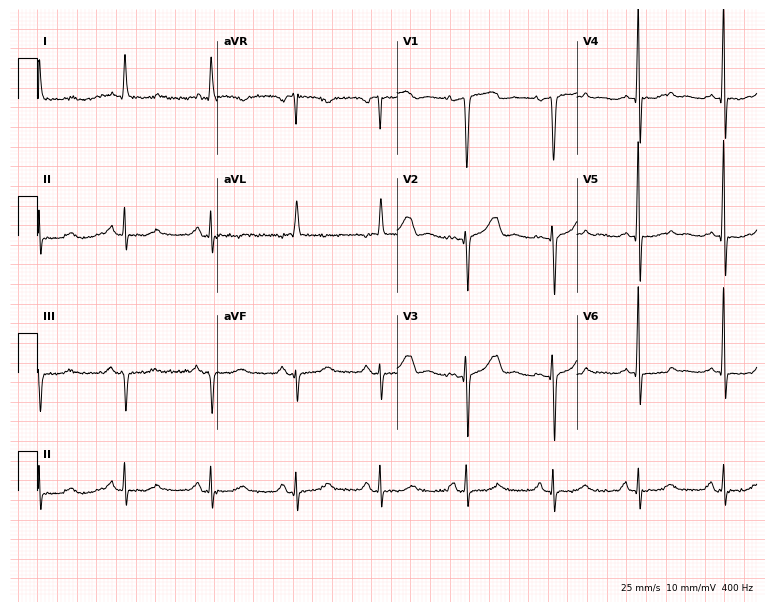
Standard 12-lead ECG recorded from an 85-year-old female. None of these six findings is recorded: first-degree AV block, right bundle branch block, left bundle branch block, sinus bradycardia, atrial fibrillation, sinus tachycardia.